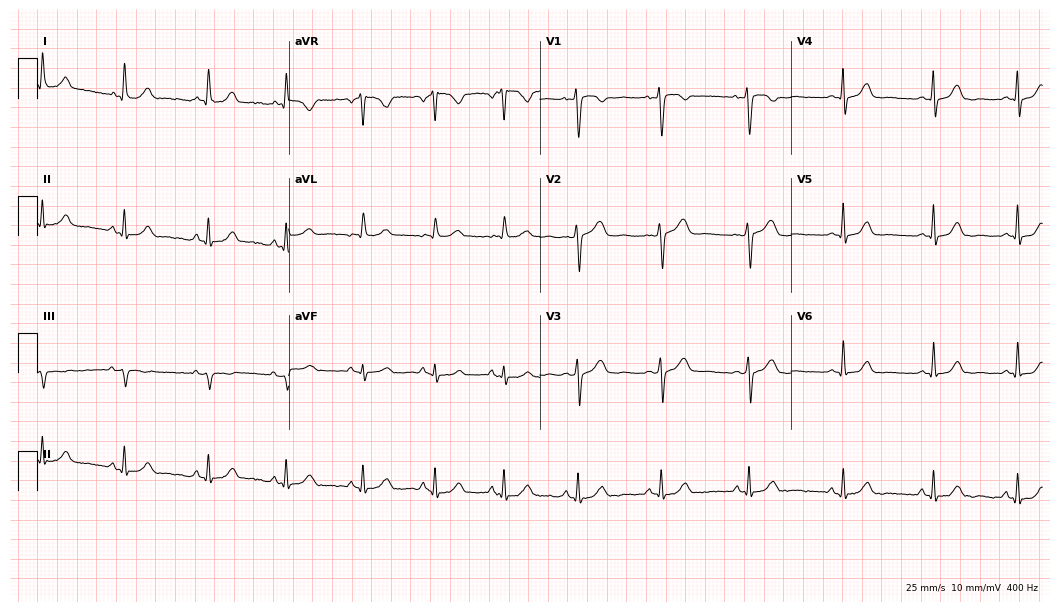
12-lead ECG from a 43-year-old female patient. Labelled as a normal ECG.